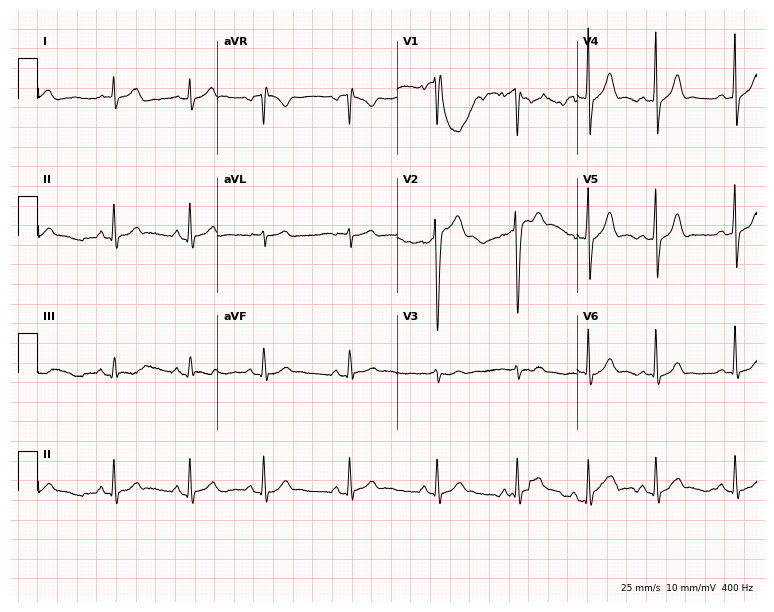
ECG (7.3-second recording at 400 Hz) — a 21-year-old man. Screened for six findings — first-degree AV block, right bundle branch block, left bundle branch block, sinus bradycardia, atrial fibrillation, sinus tachycardia — none is recorded.